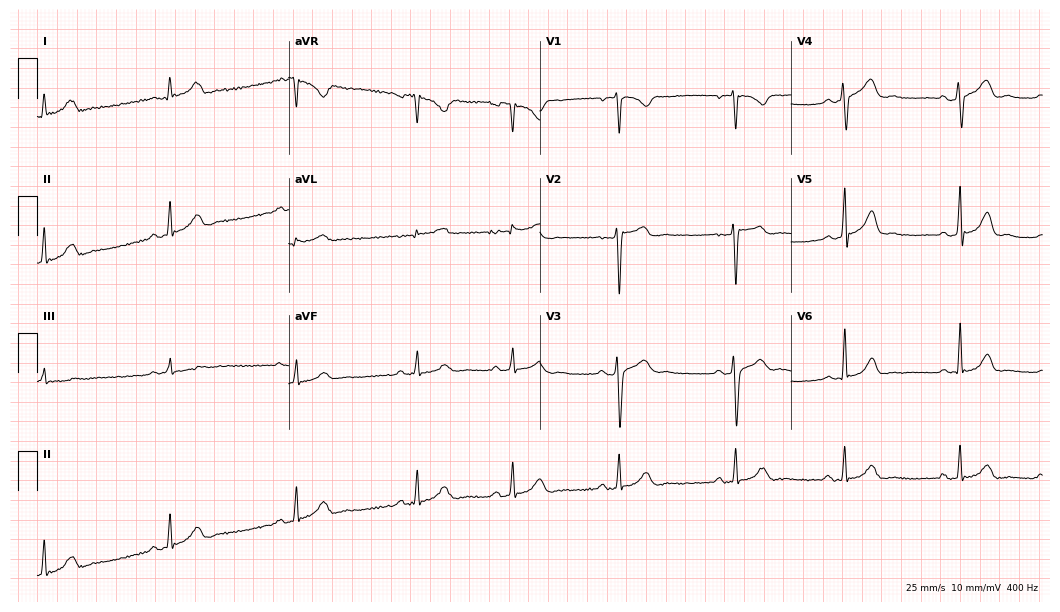
Electrocardiogram (10.2-second recording at 400 Hz), a man, 43 years old. Overall reading on record: normal ECG.